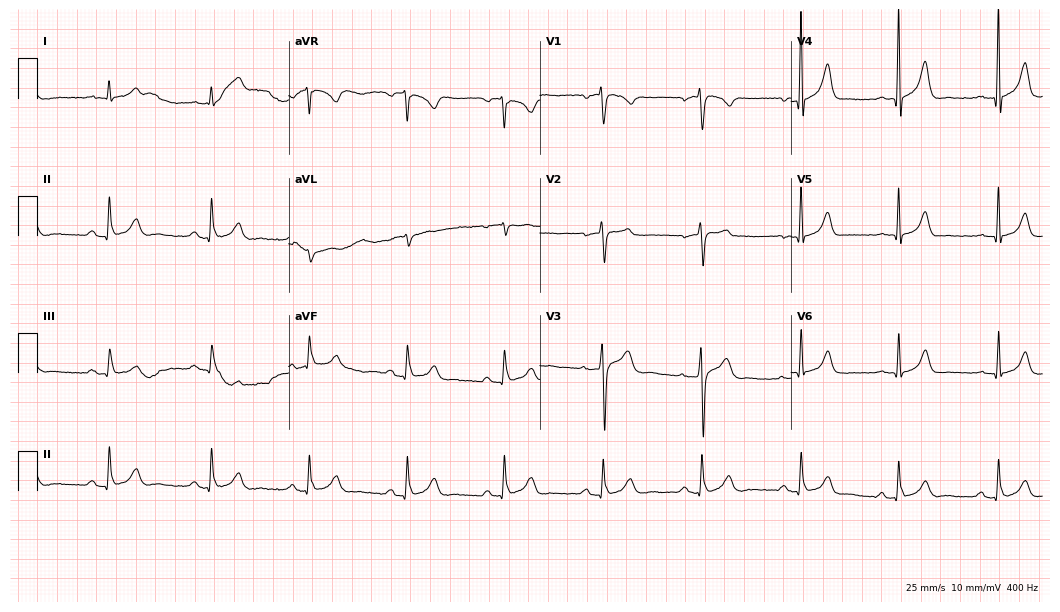
Electrocardiogram (10.2-second recording at 400 Hz), a male, 51 years old. Overall reading on record: normal ECG.